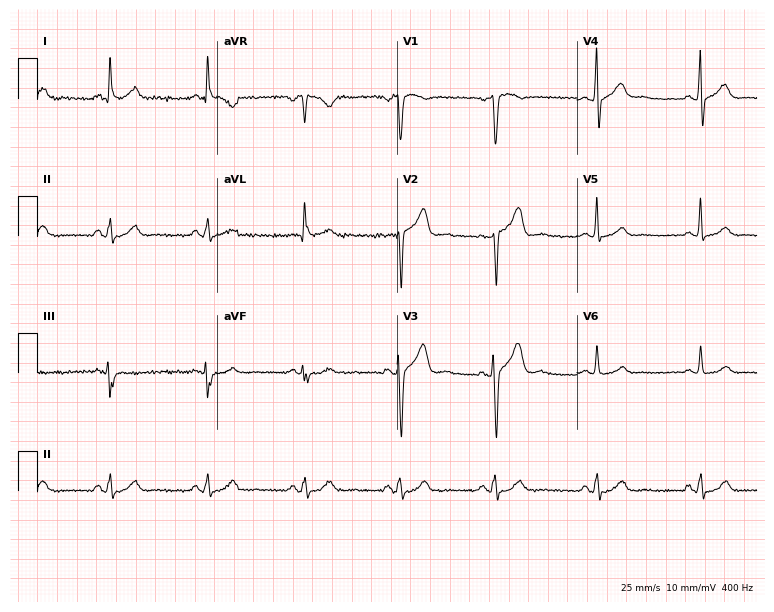
12-lead ECG from a man, 39 years old. Screened for six findings — first-degree AV block, right bundle branch block (RBBB), left bundle branch block (LBBB), sinus bradycardia, atrial fibrillation (AF), sinus tachycardia — none is recorded.